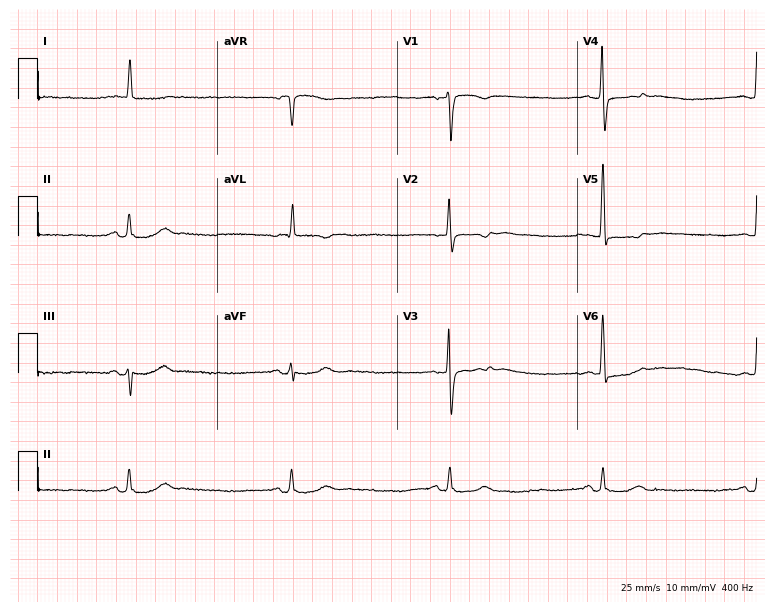
Resting 12-lead electrocardiogram (7.3-second recording at 400 Hz). Patient: a male, 84 years old. The tracing shows sinus bradycardia (a sinus rate of 50 beats per minute or less).